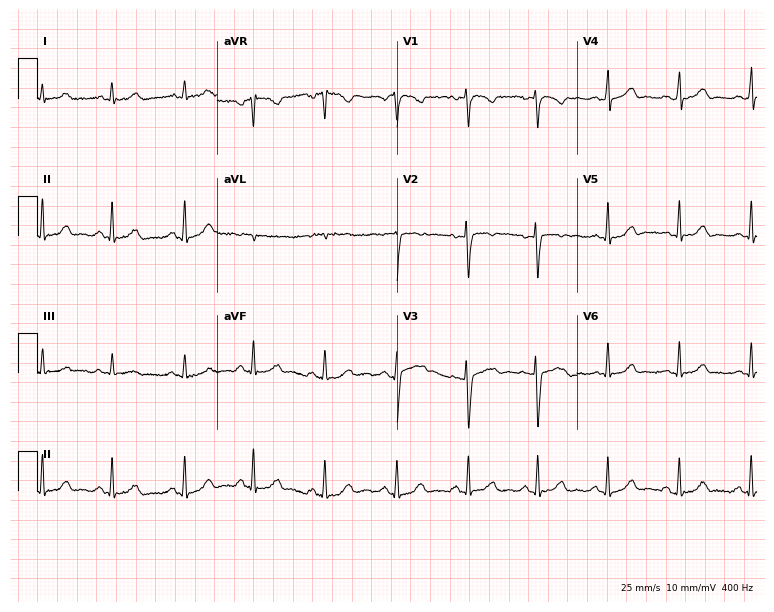
12-lead ECG from a female patient, 28 years old. Labelled as a normal ECG.